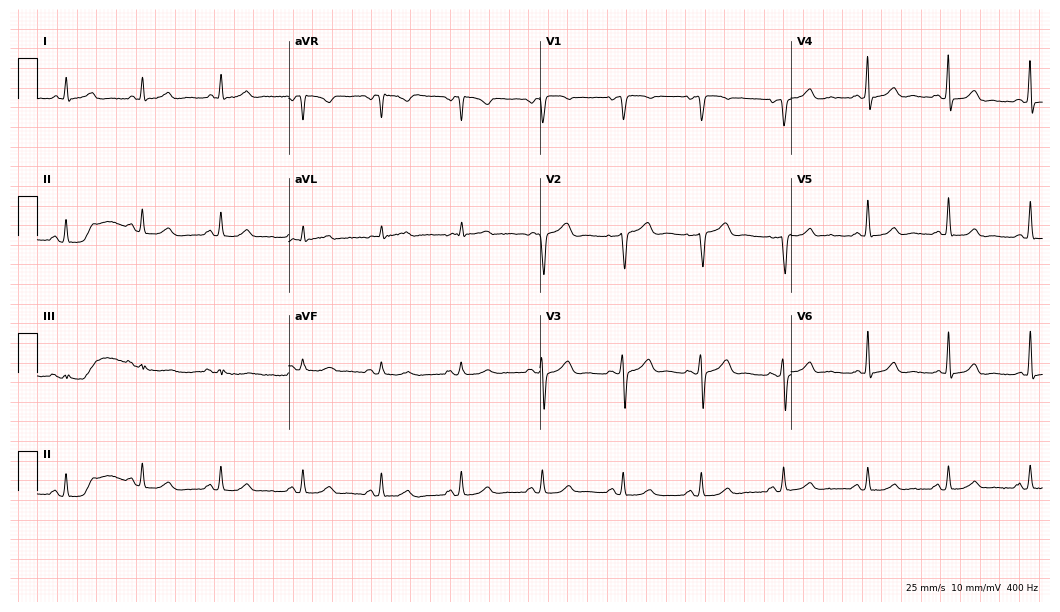
12-lead ECG from a female, 37 years old (10.2-second recording at 400 Hz). No first-degree AV block, right bundle branch block (RBBB), left bundle branch block (LBBB), sinus bradycardia, atrial fibrillation (AF) or sinus tachycardia recorded for this tracing.